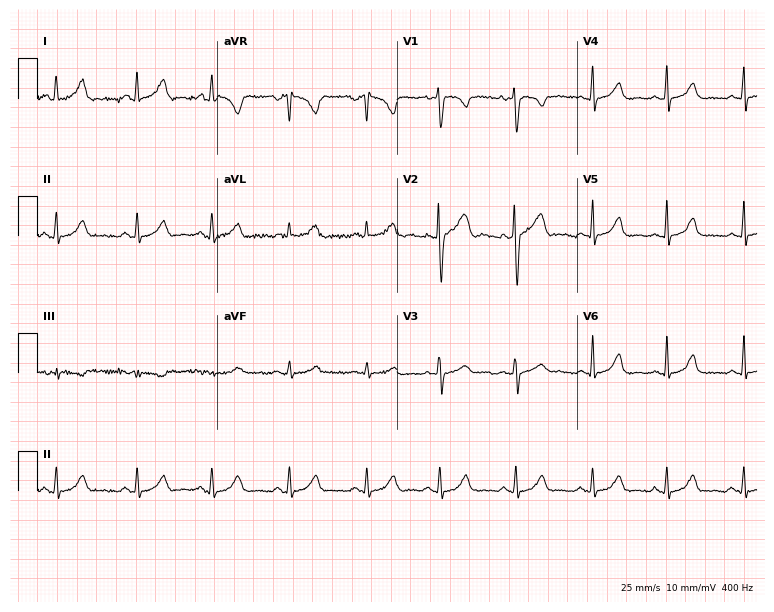
ECG (7.3-second recording at 400 Hz) — a 24-year-old woman. Screened for six findings — first-degree AV block, right bundle branch block, left bundle branch block, sinus bradycardia, atrial fibrillation, sinus tachycardia — none is recorded.